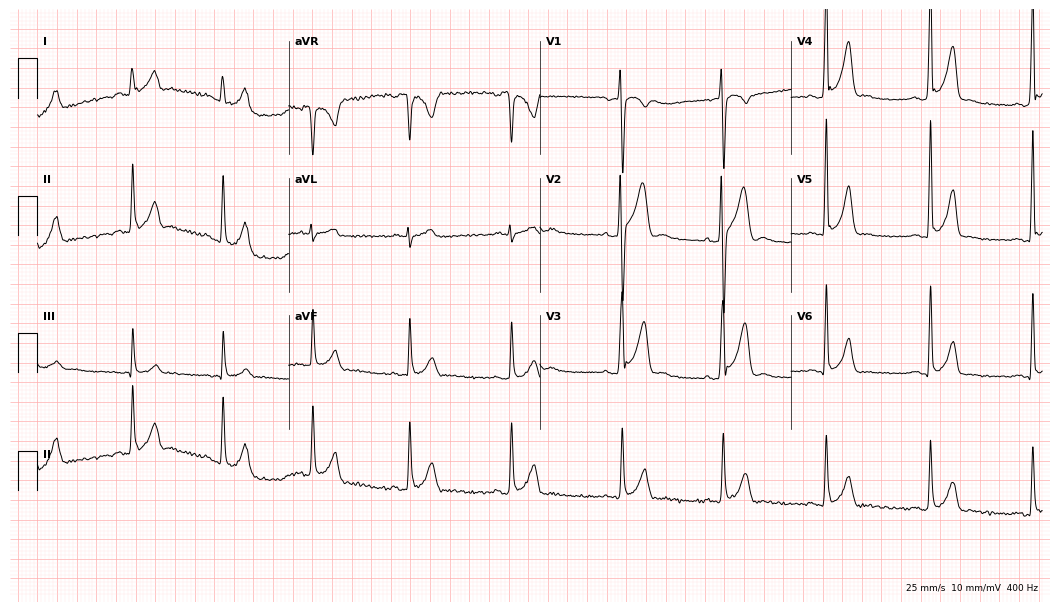
12-lead ECG from a man, 22 years old. No first-degree AV block, right bundle branch block, left bundle branch block, sinus bradycardia, atrial fibrillation or sinus tachycardia recorded for this tracing. Findings outside these six are not listed.